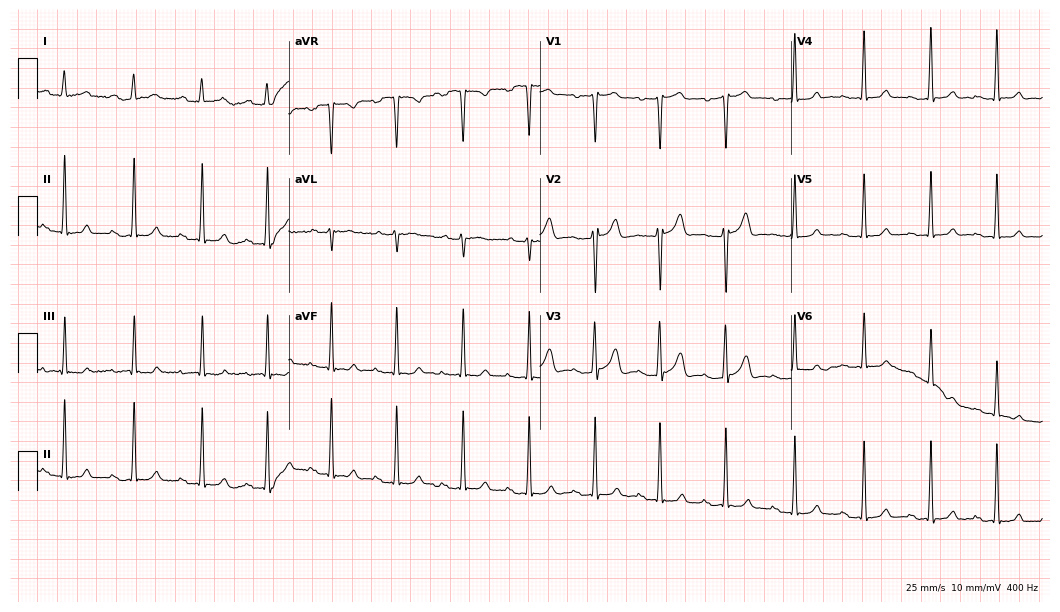
12-lead ECG from a female, 32 years old (10.2-second recording at 400 Hz). Recorded interpretation: within normal limits.